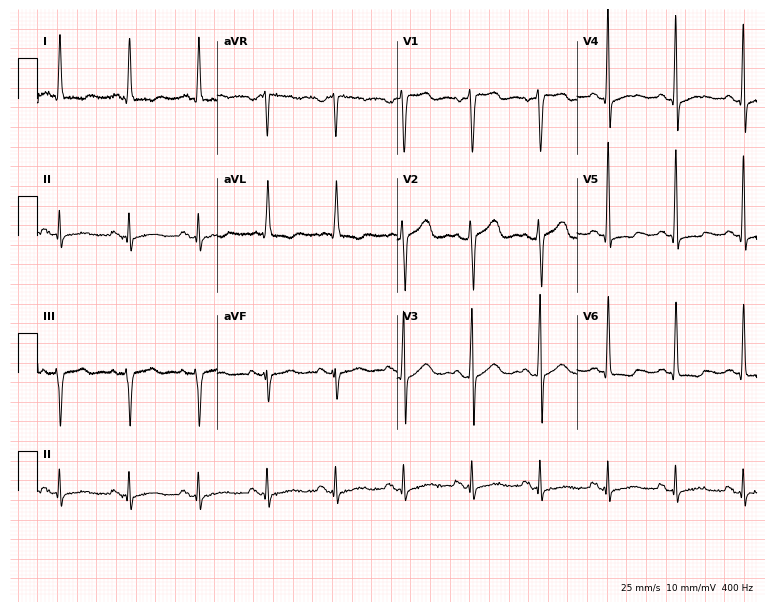
12-lead ECG from a 78-year-old male patient (7.3-second recording at 400 Hz). No first-degree AV block, right bundle branch block, left bundle branch block, sinus bradycardia, atrial fibrillation or sinus tachycardia recorded for this tracing. Only these six findings were labelled.